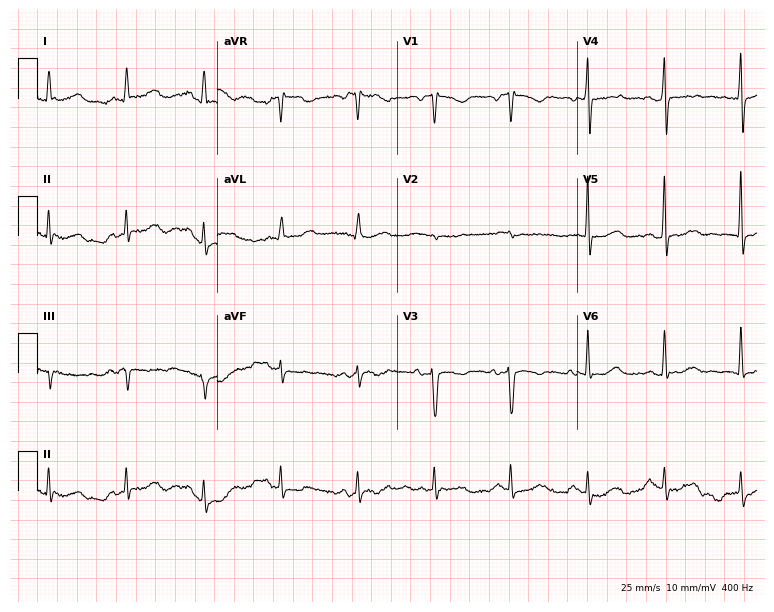
12-lead ECG from a female, 58 years old. No first-degree AV block, right bundle branch block, left bundle branch block, sinus bradycardia, atrial fibrillation or sinus tachycardia recorded for this tracing.